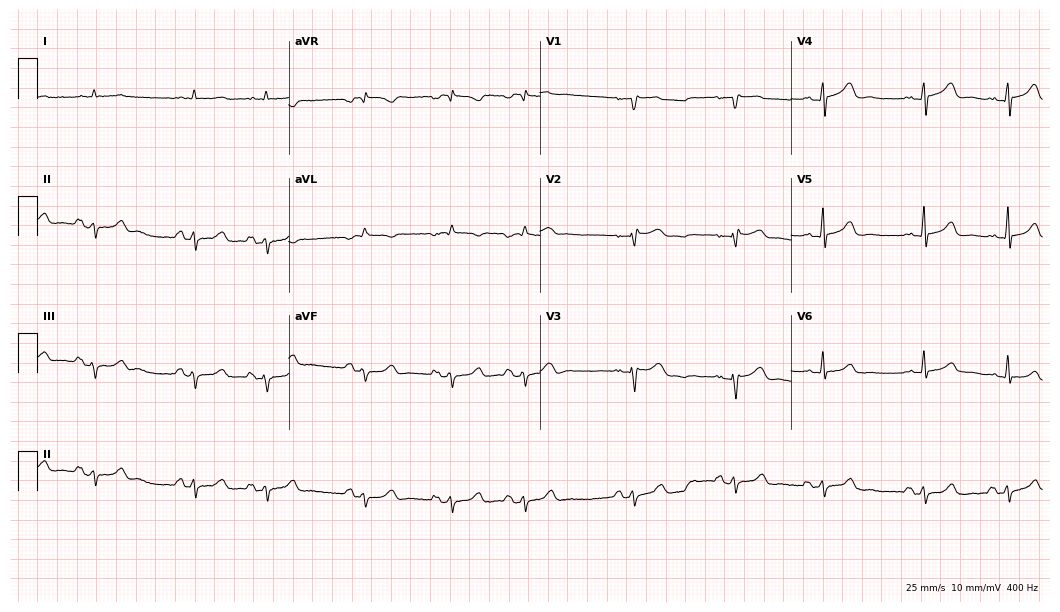
ECG (10.2-second recording at 400 Hz) — a female, 69 years old. Screened for six findings — first-degree AV block, right bundle branch block, left bundle branch block, sinus bradycardia, atrial fibrillation, sinus tachycardia — none is recorded.